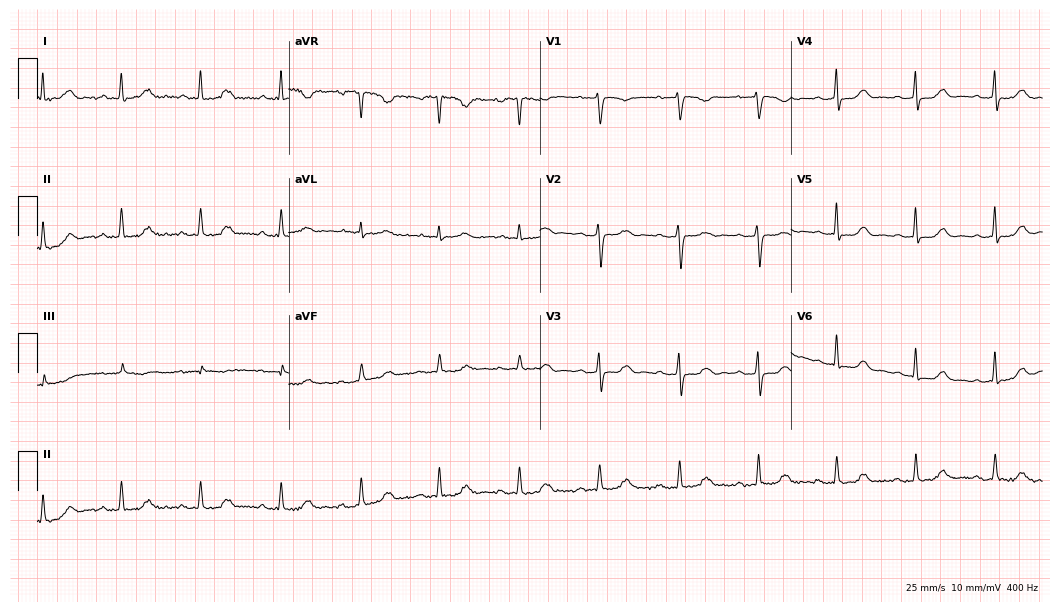
12-lead ECG from a 70-year-old female patient. Screened for six findings — first-degree AV block, right bundle branch block, left bundle branch block, sinus bradycardia, atrial fibrillation, sinus tachycardia — none is recorded.